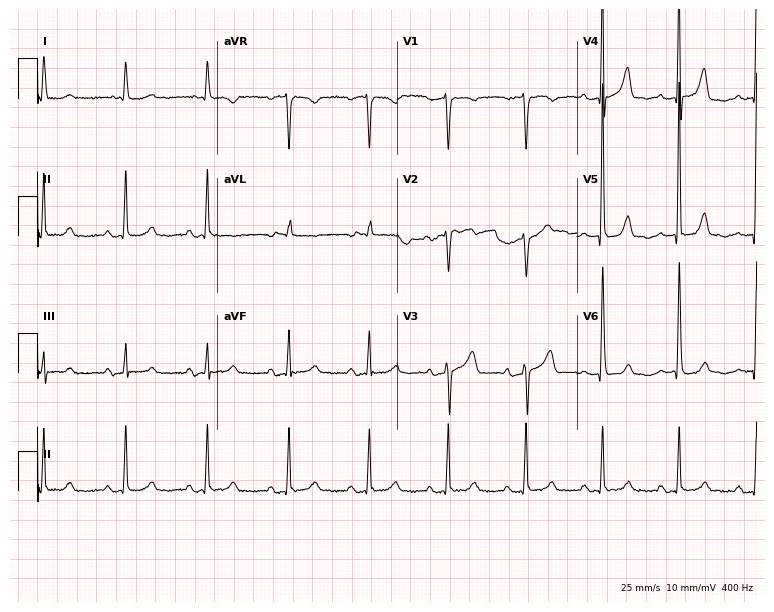
Standard 12-lead ECG recorded from a 75-year-old woman. Read as a normal ECG.